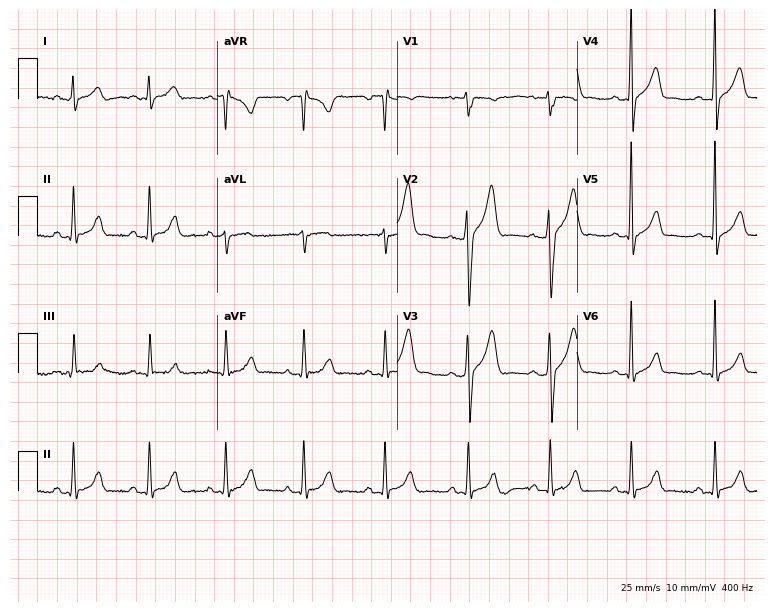
Standard 12-lead ECG recorded from a man, 26 years old. Read as a normal ECG.